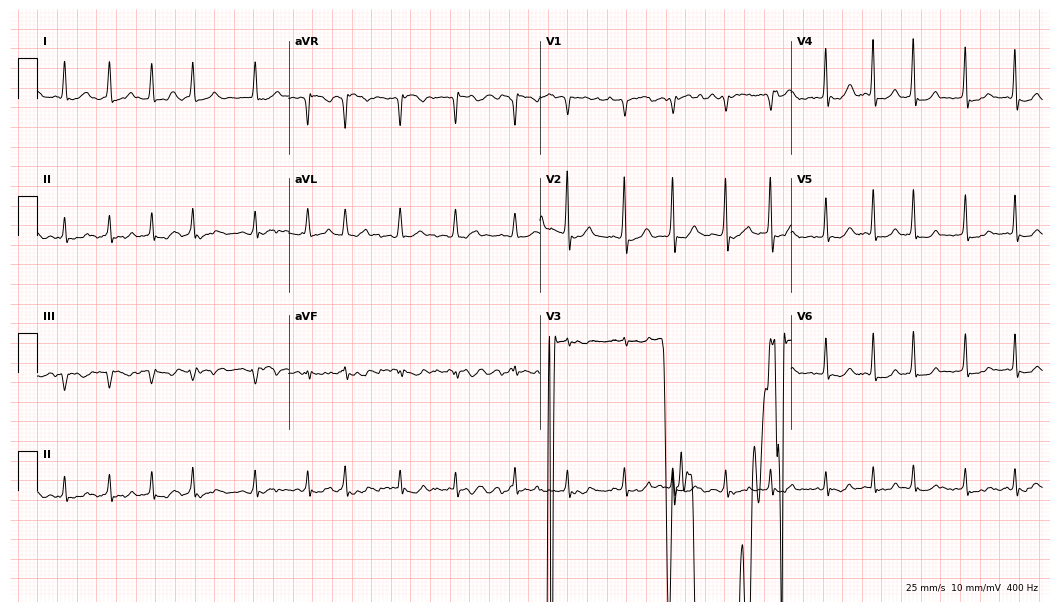
12-lead ECG from a male patient, 79 years old (10.2-second recording at 400 Hz). Shows atrial fibrillation.